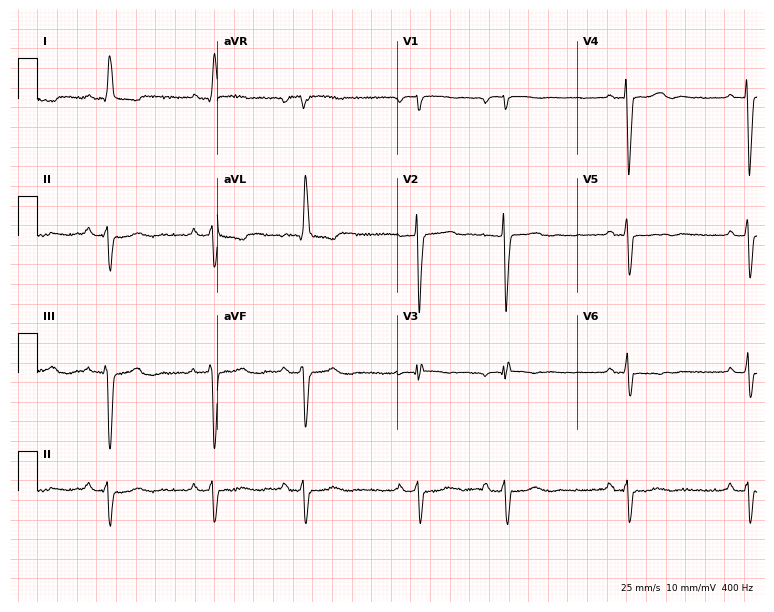
ECG — a female patient, 86 years old. Screened for six findings — first-degree AV block, right bundle branch block, left bundle branch block, sinus bradycardia, atrial fibrillation, sinus tachycardia — none is recorded. Other findings, if any, are not listed.